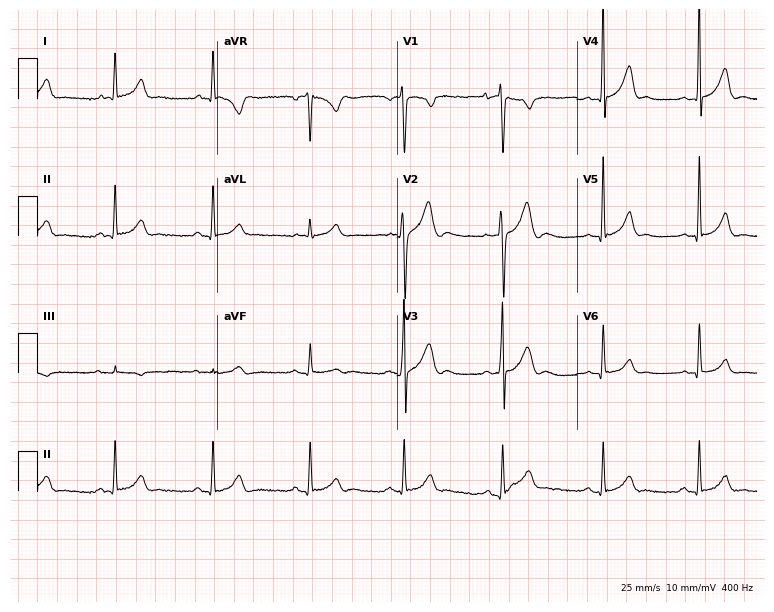
Electrocardiogram (7.3-second recording at 400 Hz), a male patient, 23 years old. Overall reading on record: normal ECG.